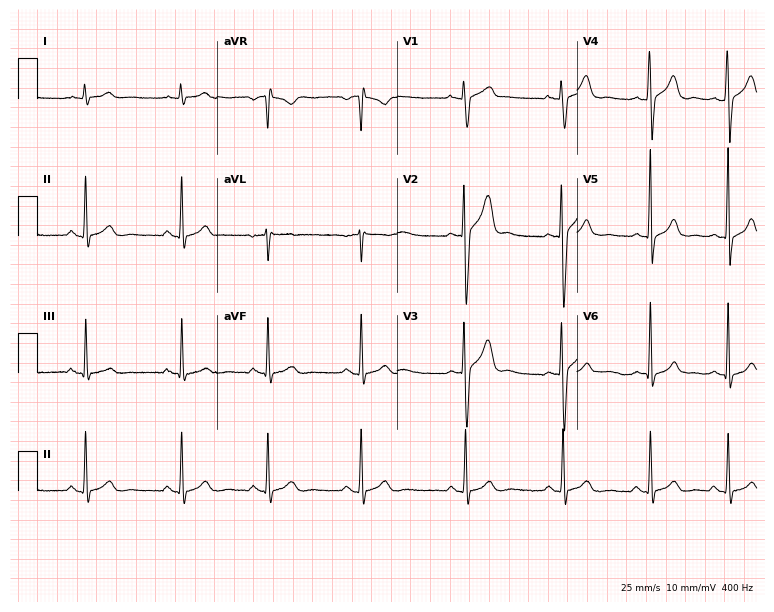
Electrocardiogram (7.3-second recording at 400 Hz), a male patient, 19 years old. Overall reading on record: normal ECG.